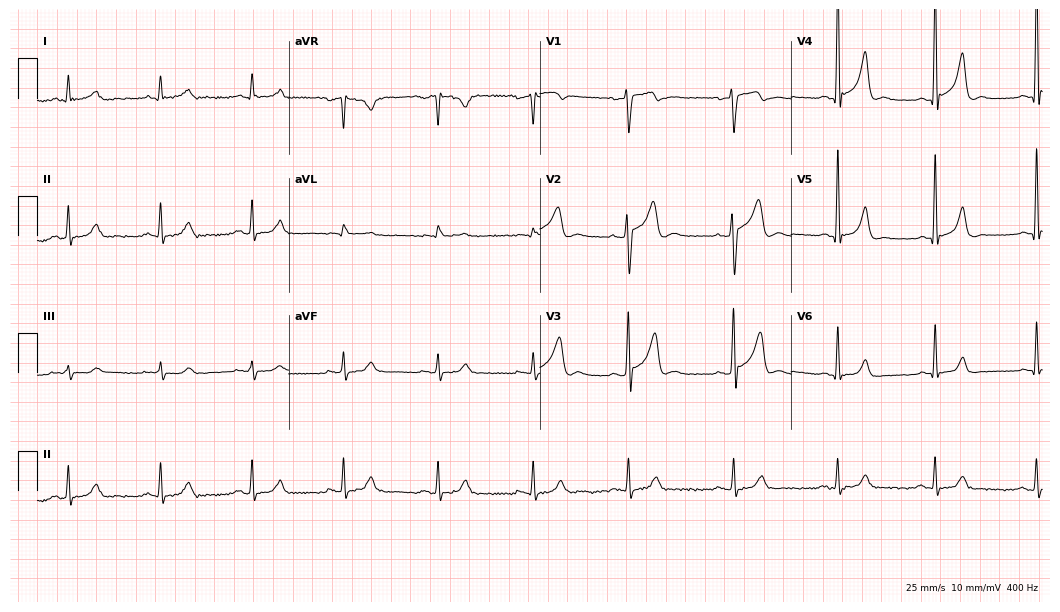
Standard 12-lead ECG recorded from a 45-year-old male patient (10.2-second recording at 400 Hz). Read as a normal ECG.